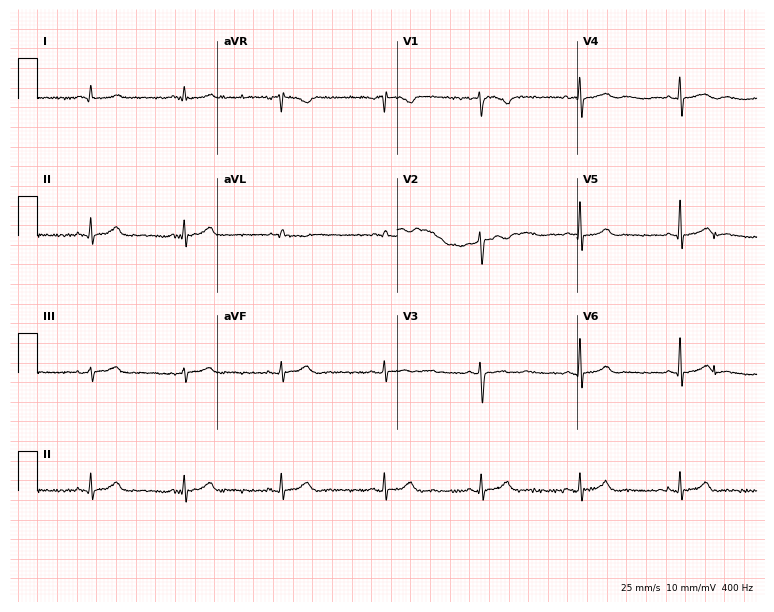
Resting 12-lead electrocardiogram. Patient: a 19-year-old female. None of these six findings is recorded: first-degree AV block, right bundle branch block, left bundle branch block, sinus bradycardia, atrial fibrillation, sinus tachycardia. Only these six findings were labelled.